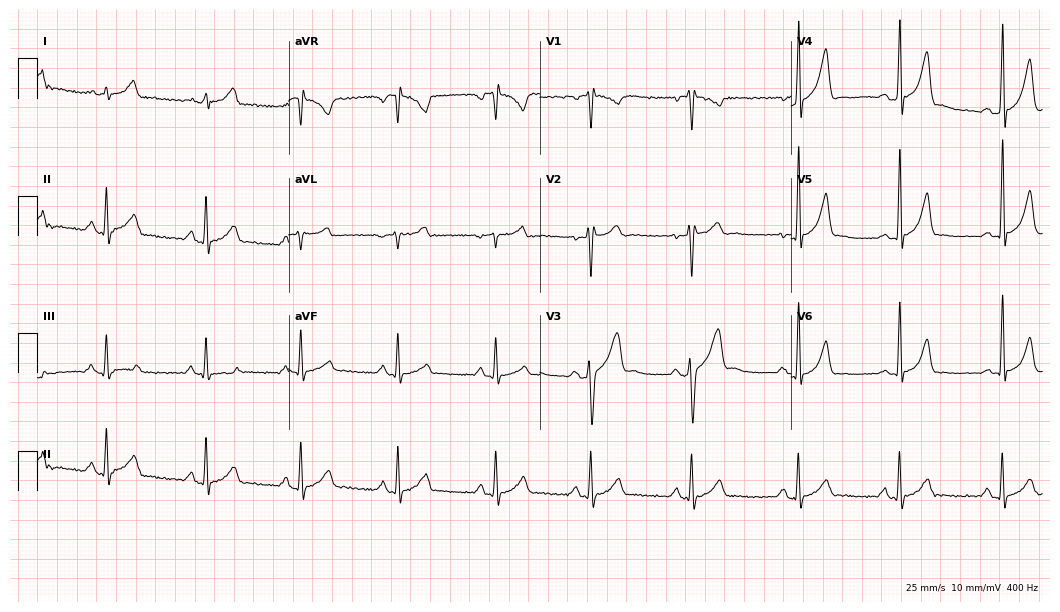
12-lead ECG from a man, 35 years old (10.2-second recording at 400 Hz). No first-degree AV block, right bundle branch block, left bundle branch block, sinus bradycardia, atrial fibrillation or sinus tachycardia recorded for this tracing.